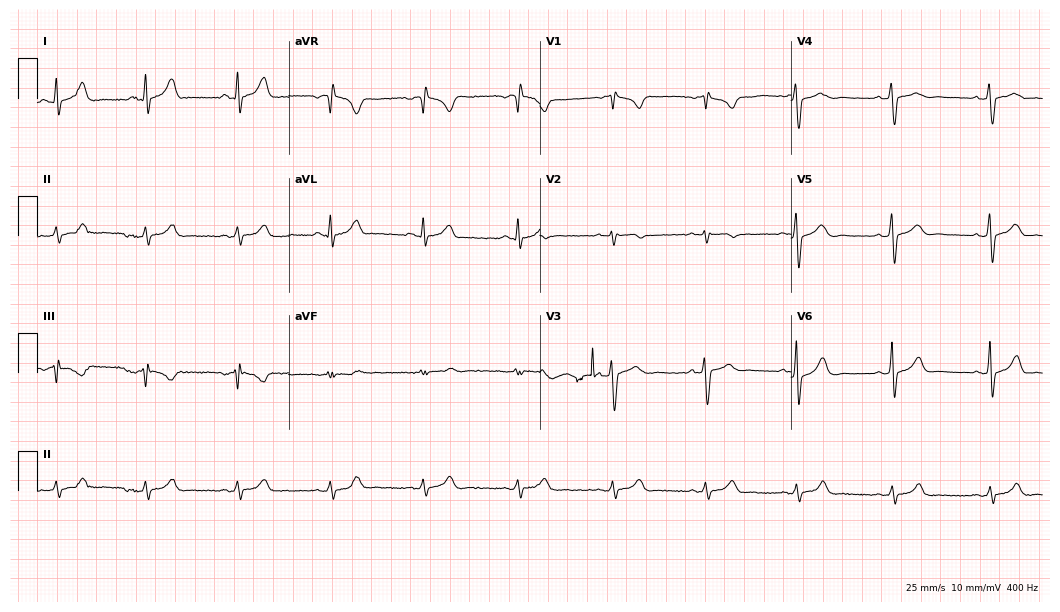
Resting 12-lead electrocardiogram (10.2-second recording at 400 Hz). Patient: a 30-year-old male. None of these six findings is recorded: first-degree AV block, right bundle branch block, left bundle branch block, sinus bradycardia, atrial fibrillation, sinus tachycardia. Other findings, if any, are not listed.